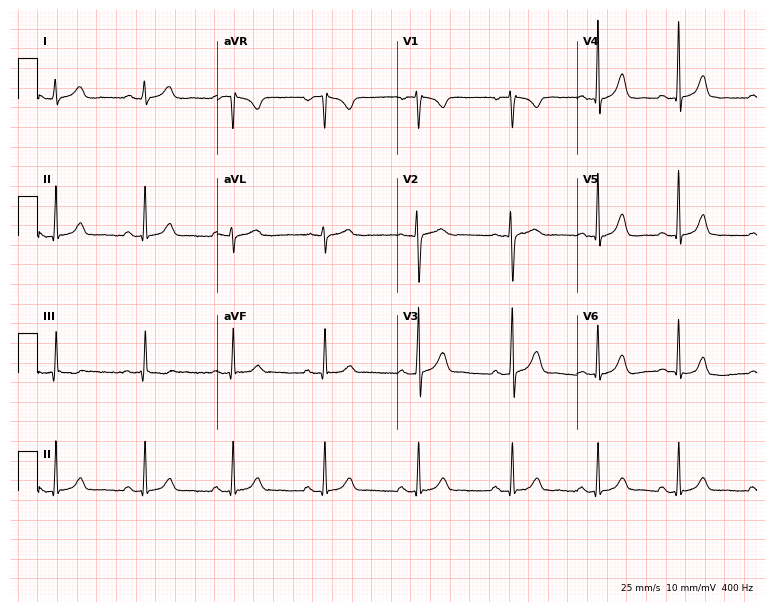
ECG (7.3-second recording at 400 Hz) — a female, 29 years old. Screened for six findings — first-degree AV block, right bundle branch block (RBBB), left bundle branch block (LBBB), sinus bradycardia, atrial fibrillation (AF), sinus tachycardia — none is recorded. Only these six findings were labelled.